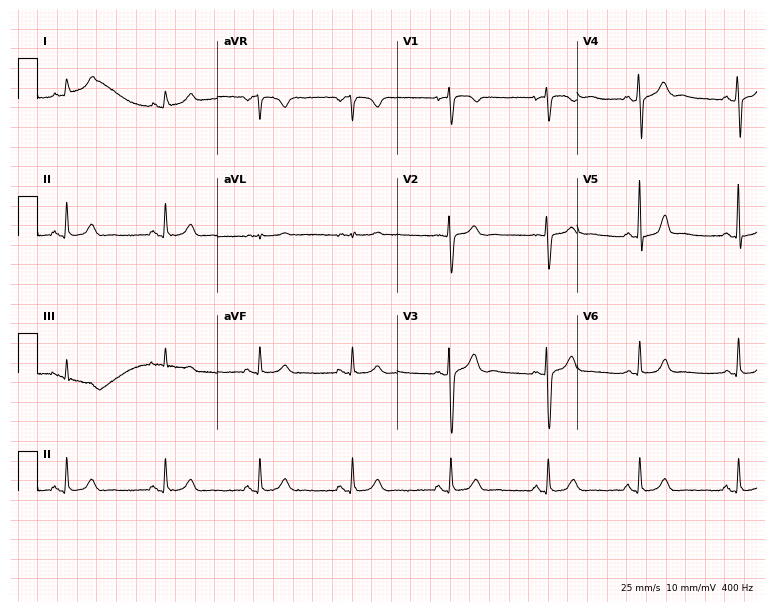
12-lead ECG from a female patient, 30 years old. No first-degree AV block, right bundle branch block, left bundle branch block, sinus bradycardia, atrial fibrillation or sinus tachycardia recorded for this tracing. Findings outside these six are not listed.